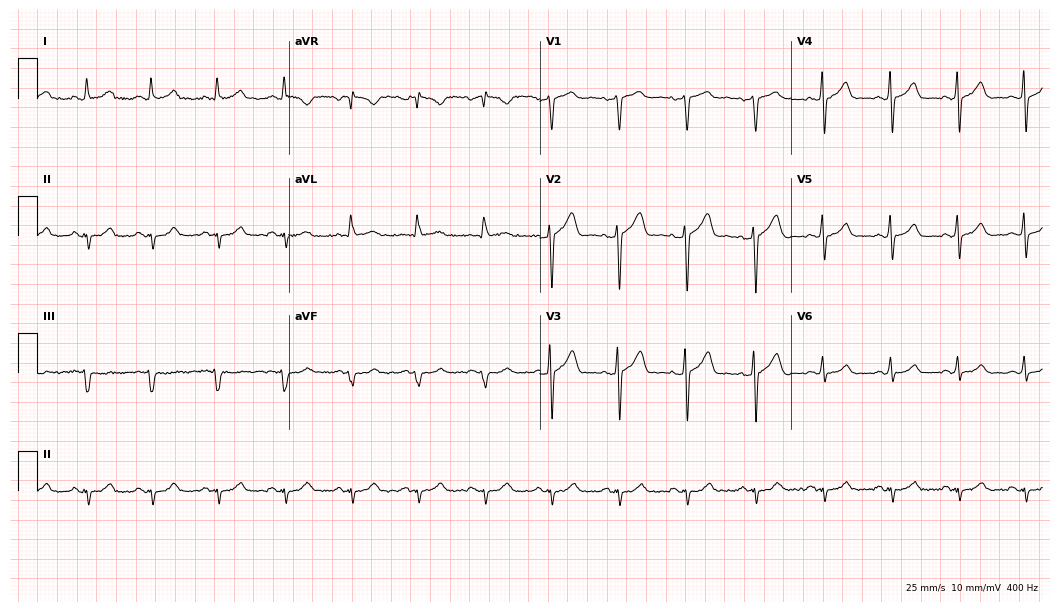
Electrocardiogram, a male patient, 55 years old. Overall reading on record: normal ECG.